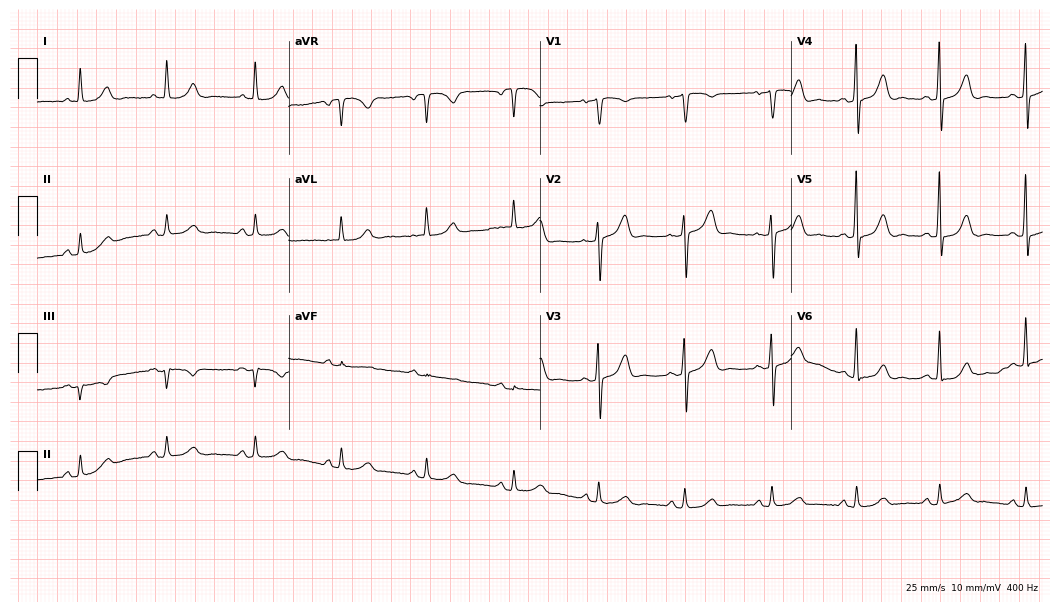
Resting 12-lead electrocardiogram (10.2-second recording at 400 Hz). Patient: a 72-year-old female. Read as a normal ECG.